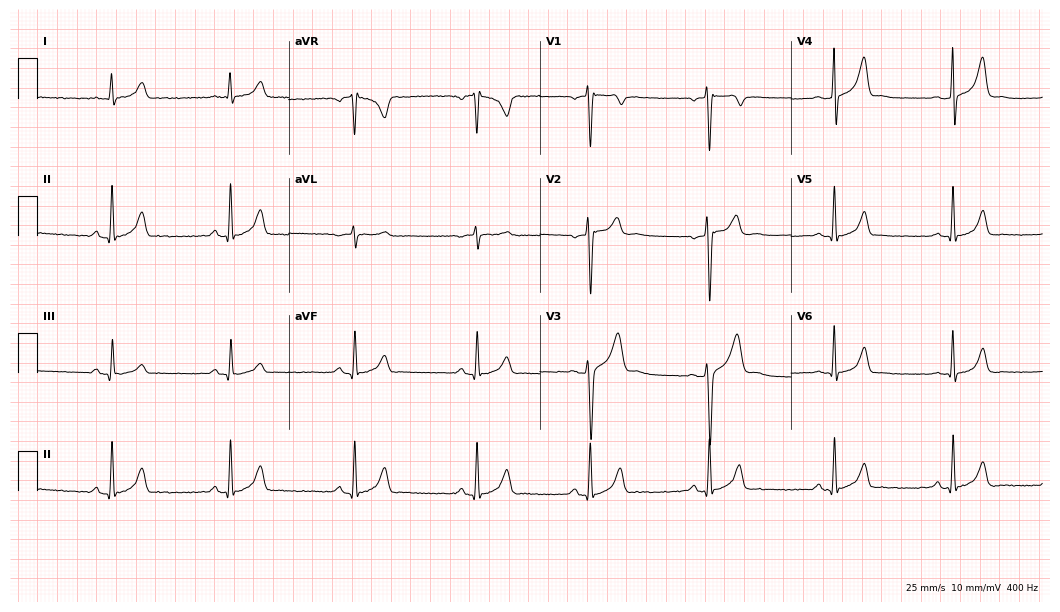
Standard 12-lead ECG recorded from a 22-year-old man. The tracing shows sinus bradycardia (a sinus rate of 50 beats per minute or less).